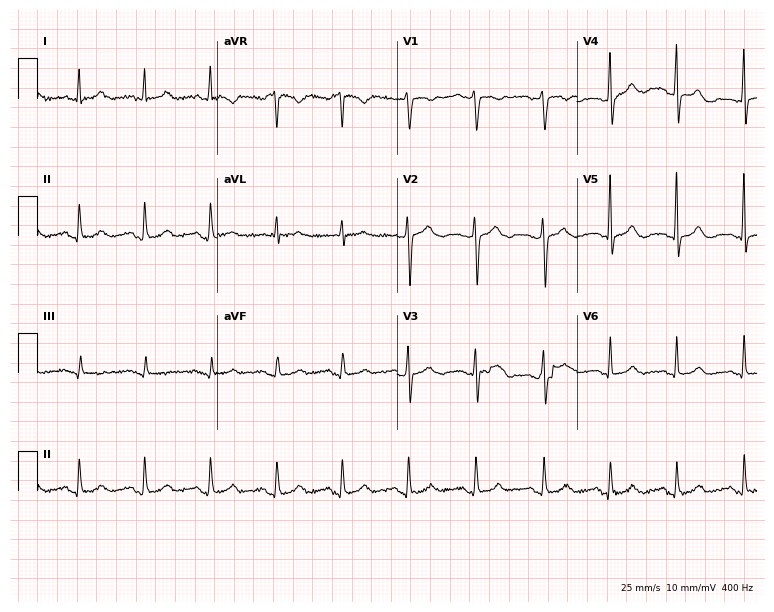
Electrocardiogram, a 52-year-old woman. Of the six screened findings (first-degree AV block, right bundle branch block (RBBB), left bundle branch block (LBBB), sinus bradycardia, atrial fibrillation (AF), sinus tachycardia), none is recorded. Findings outside these six are not listed.